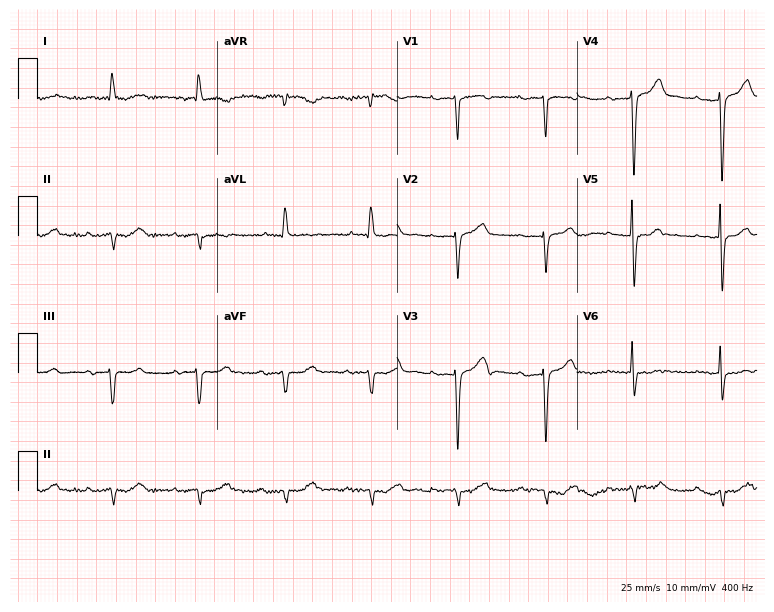
Standard 12-lead ECG recorded from a 76-year-old female patient. None of these six findings is recorded: first-degree AV block, right bundle branch block (RBBB), left bundle branch block (LBBB), sinus bradycardia, atrial fibrillation (AF), sinus tachycardia. Findings outside these six are not listed.